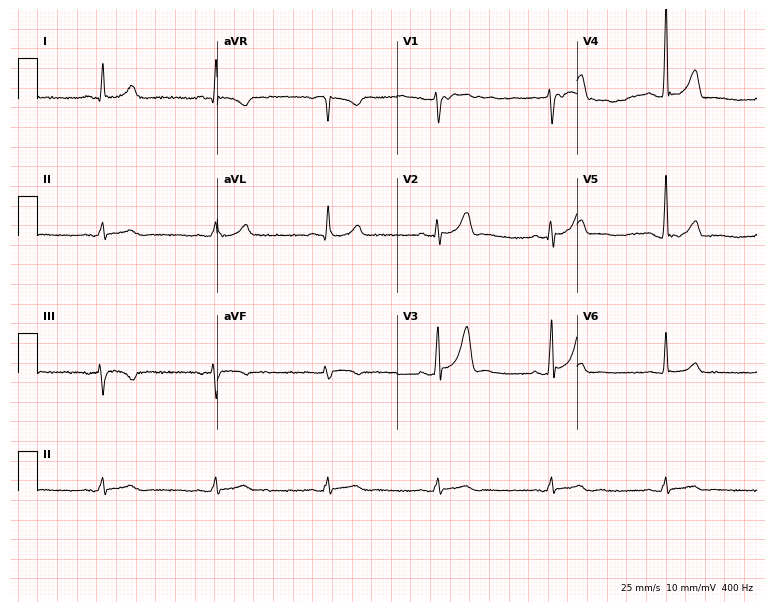
Standard 12-lead ECG recorded from a male, 48 years old. None of these six findings is recorded: first-degree AV block, right bundle branch block (RBBB), left bundle branch block (LBBB), sinus bradycardia, atrial fibrillation (AF), sinus tachycardia. Only these six findings were labelled.